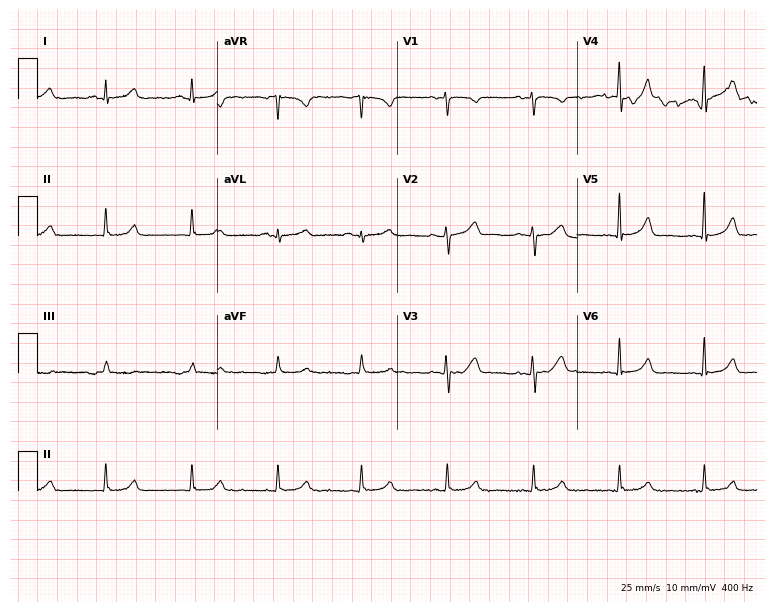
Resting 12-lead electrocardiogram (7.3-second recording at 400 Hz). Patient: a female, 59 years old. Read as a normal ECG.